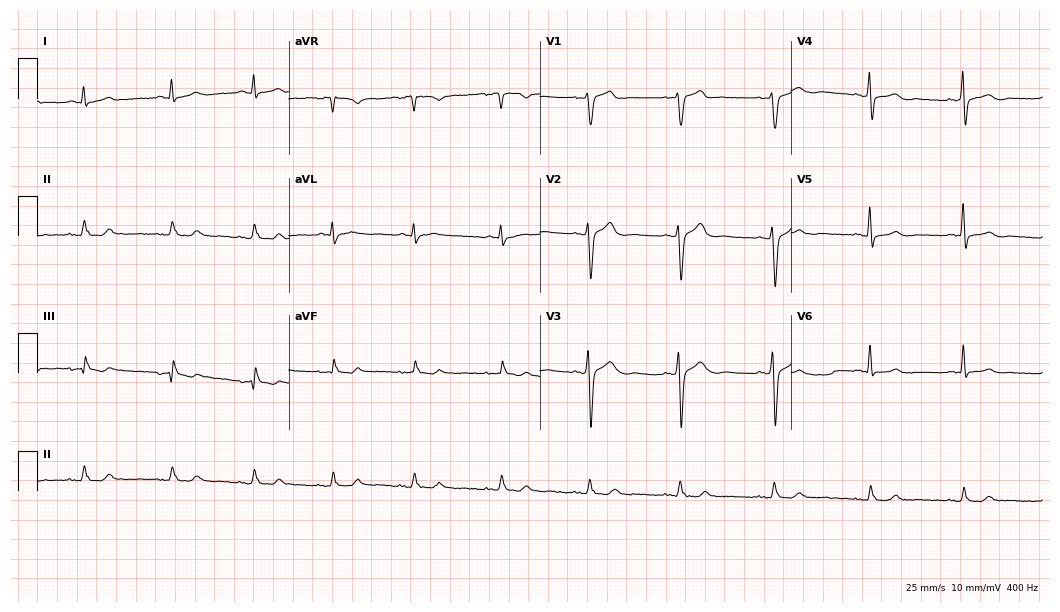
Electrocardiogram (10.2-second recording at 400 Hz), a male patient, 47 years old. Overall reading on record: normal ECG.